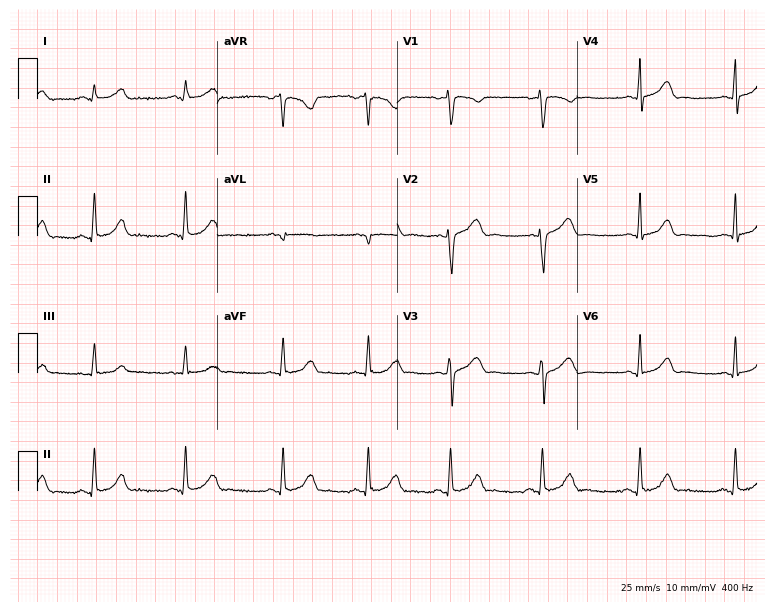
Electrocardiogram (7.3-second recording at 400 Hz), a female, 20 years old. Overall reading on record: normal ECG.